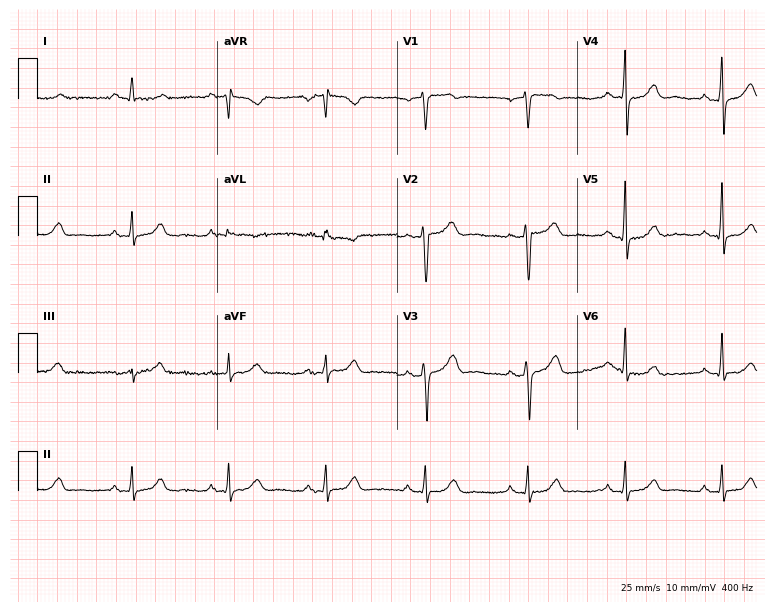
Standard 12-lead ECG recorded from a 56-year-old male. Read as a normal ECG.